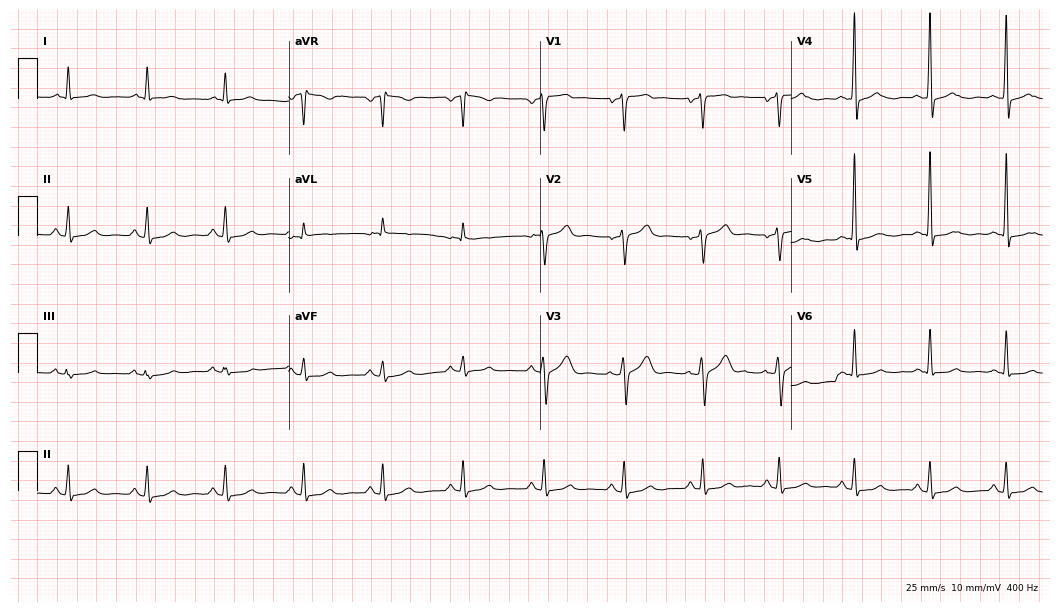
Standard 12-lead ECG recorded from a male patient, 52 years old. None of these six findings is recorded: first-degree AV block, right bundle branch block, left bundle branch block, sinus bradycardia, atrial fibrillation, sinus tachycardia.